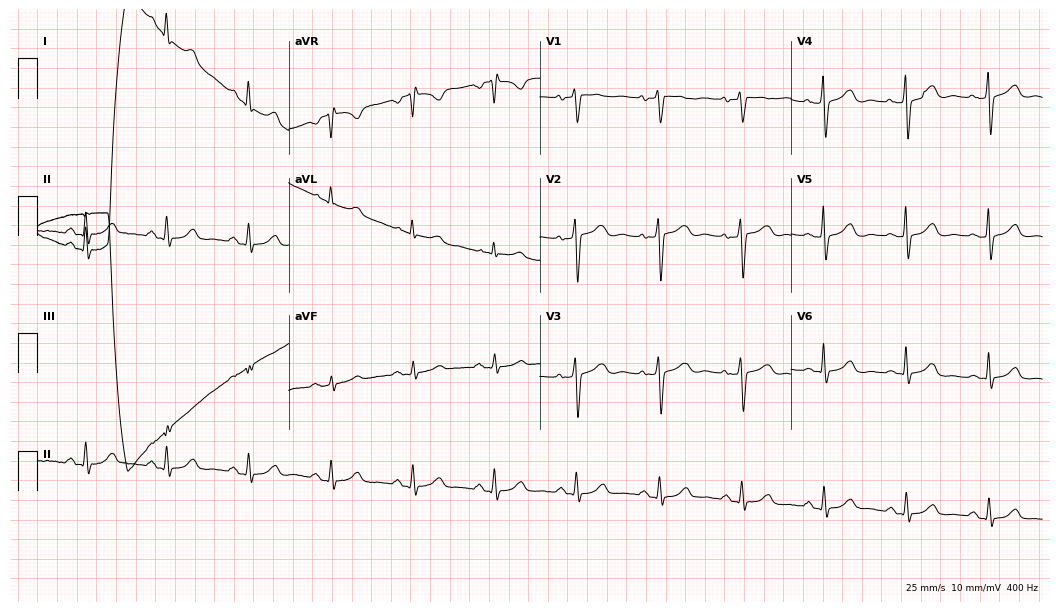
ECG (10.2-second recording at 400 Hz) — a woman, 61 years old. Labelled as a normal ECG.